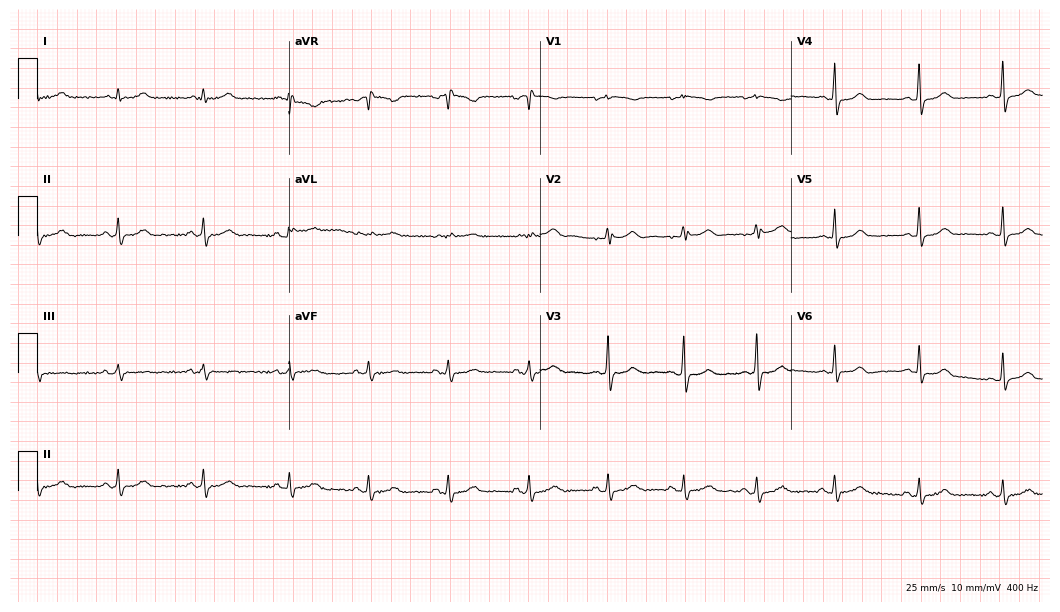
Resting 12-lead electrocardiogram. Patient: a 36-year-old female. Read as a normal ECG.